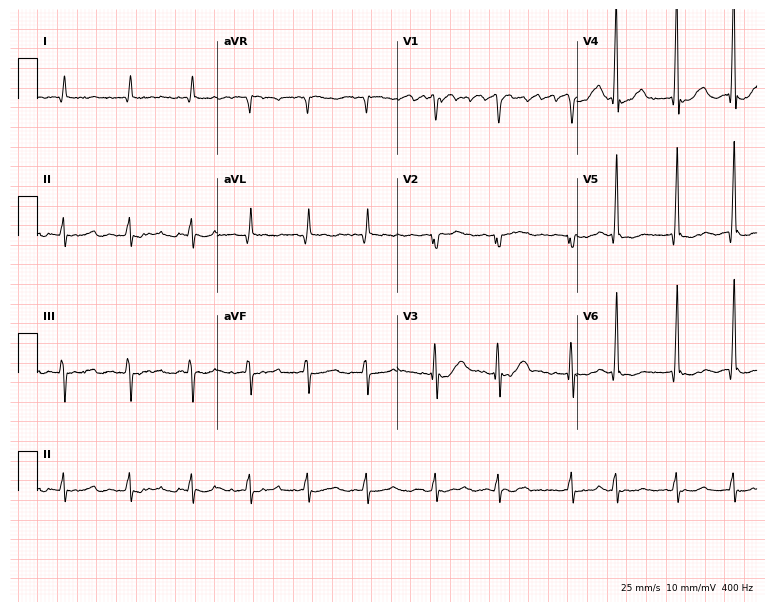
Electrocardiogram (7.3-second recording at 400 Hz), an 84-year-old male. Interpretation includes atrial fibrillation.